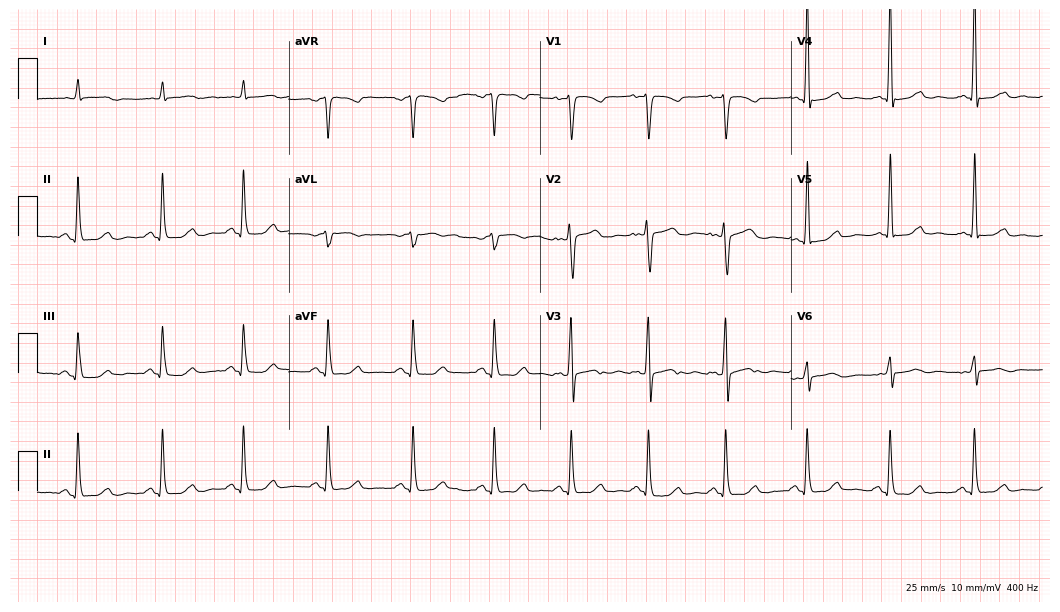
Standard 12-lead ECG recorded from a 47-year-old female (10.2-second recording at 400 Hz). Read as a normal ECG.